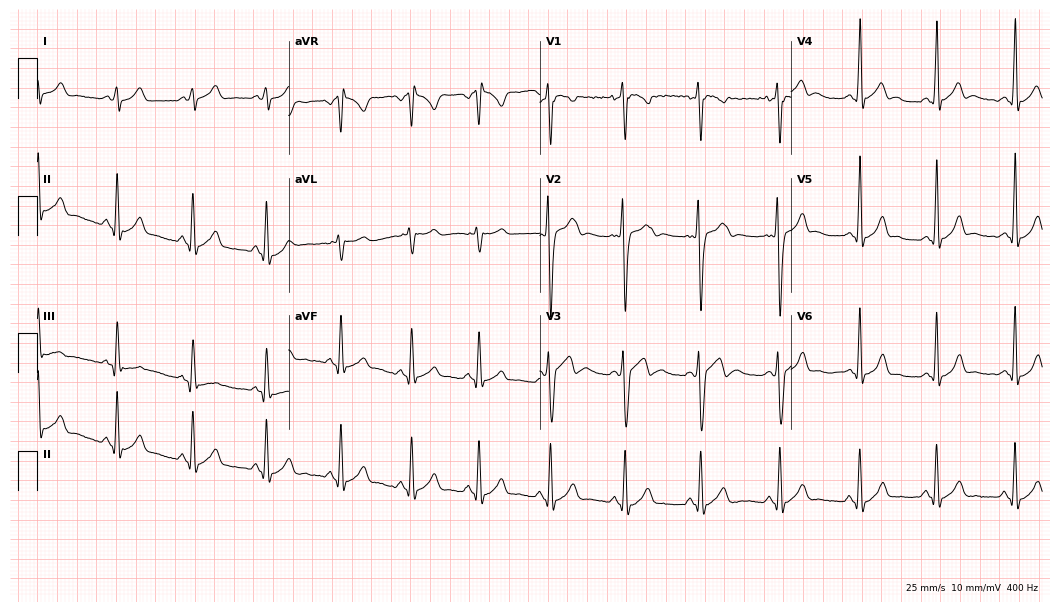
ECG — a man, 17 years old. Labelled as a normal ECG.